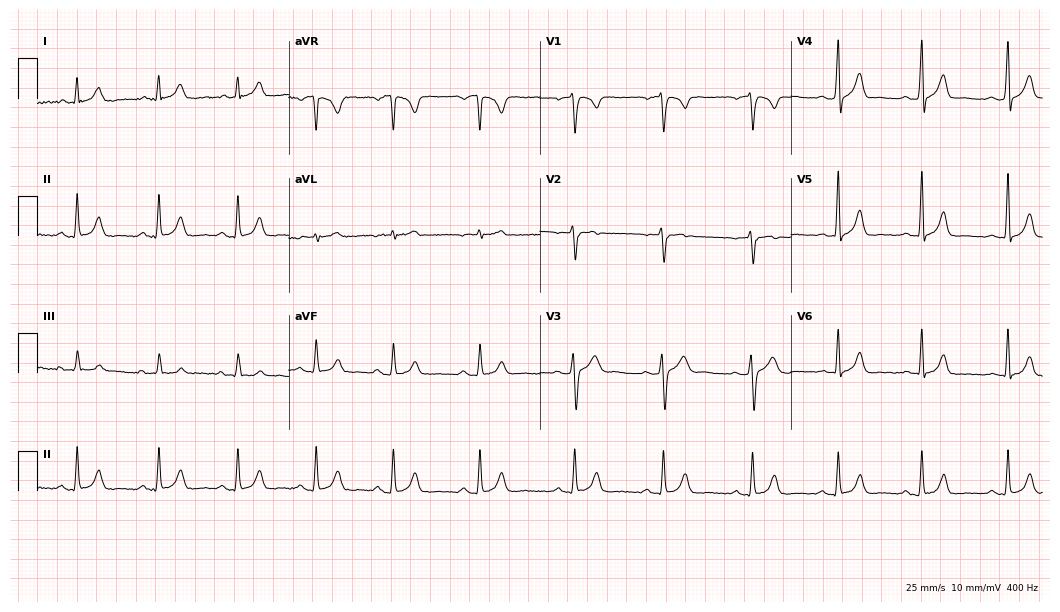
12-lead ECG from a 25-year-old male (10.2-second recording at 400 Hz). Recorded interpretation: within normal limits.